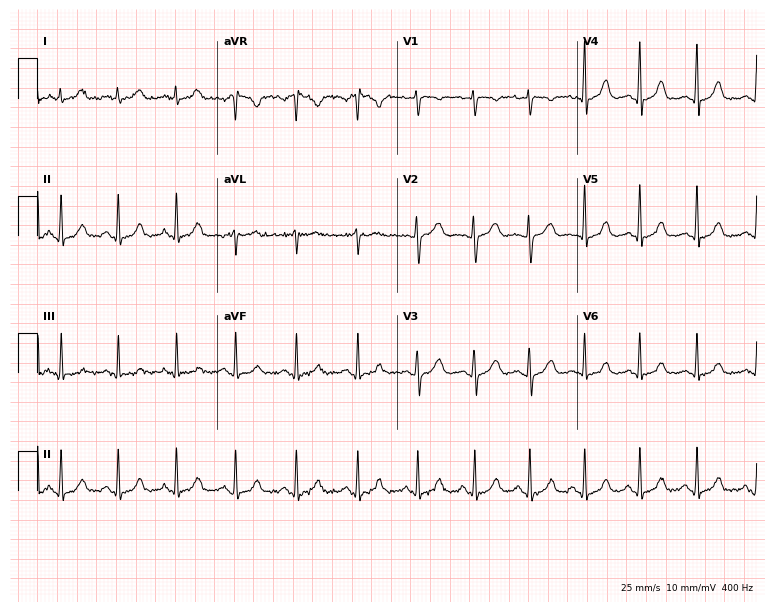
ECG (7.3-second recording at 400 Hz) — a female patient, 39 years old. Labelled as a normal ECG.